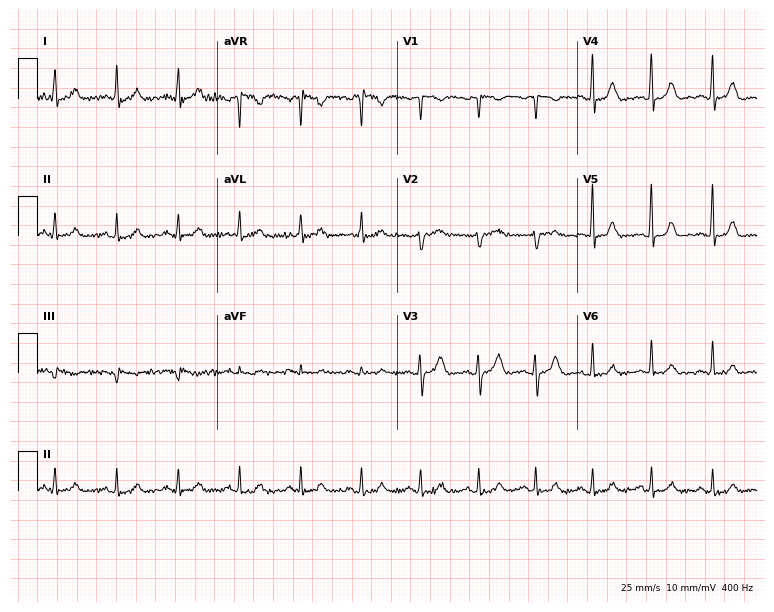
Standard 12-lead ECG recorded from a 30-year-old female. Read as a normal ECG.